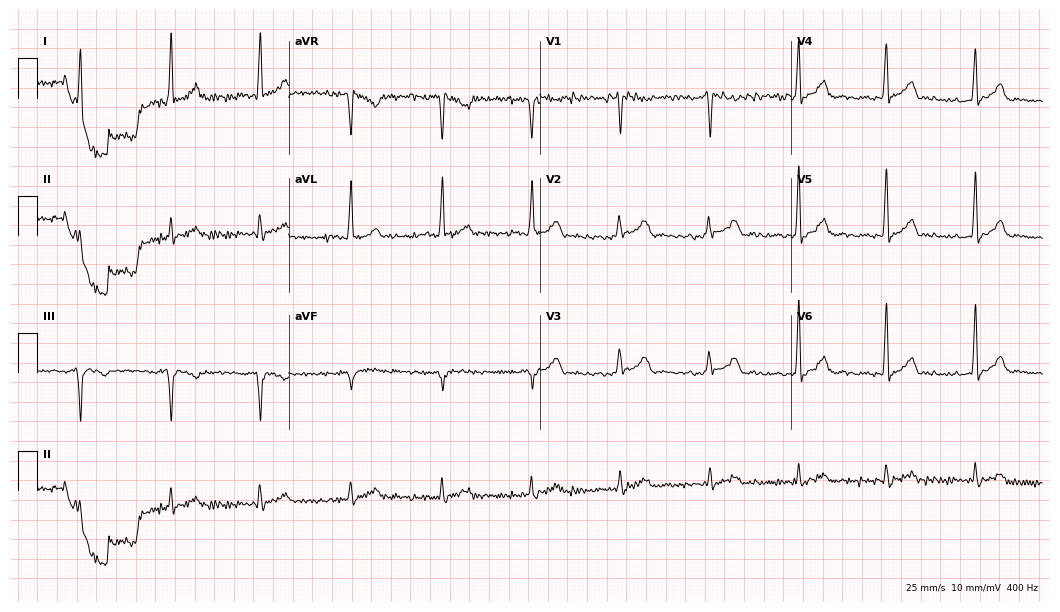
12-lead ECG (10.2-second recording at 400 Hz) from a man, 44 years old. Screened for six findings — first-degree AV block, right bundle branch block, left bundle branch block, sinus bradycardia, atrial fibrillation, sinus tachycardia — none is recorded.